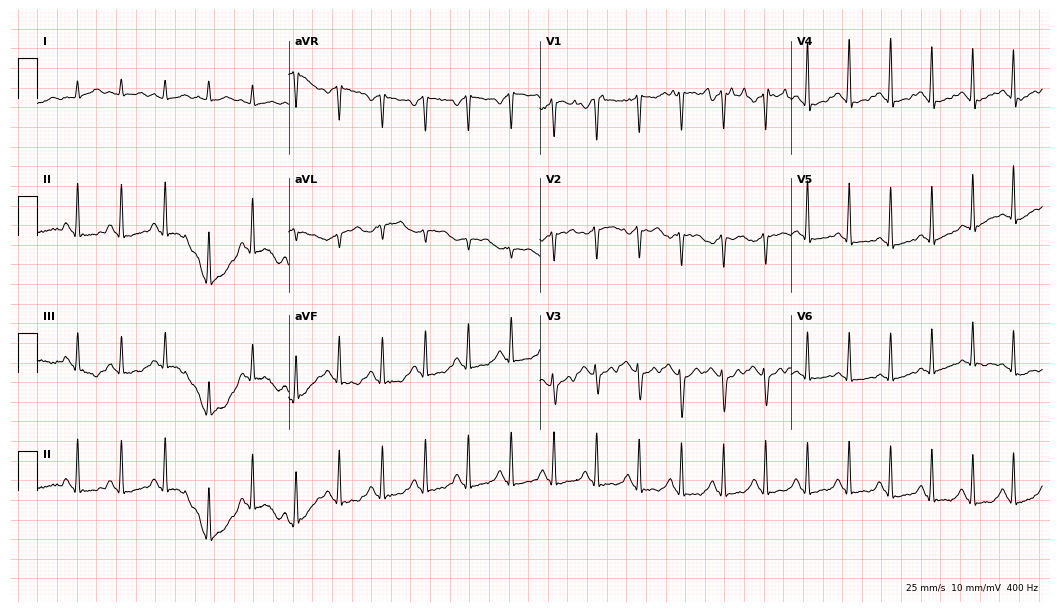
12-lead ECG from a male, 26 years old (10.2-second recording at 400 Hz). Shows sinus tachycardia (a sinus rate of 100 beats per minute or more).